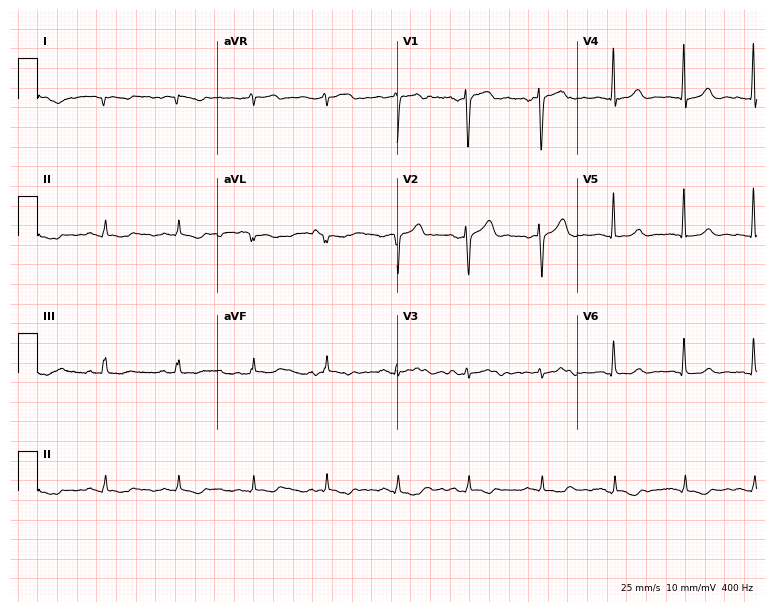
Resting 12-lead electrocardiogram (7.3-second recording at 400 Hz). Patient: a 42-year-old male. None of these six findings is recorded: first-degree AV block, right bundle branch block (RBBB), left bundle branch block (LBBB), sinus bradycardia, atrial fibrillation (AF), sinus tachycardia. Only these six findings were labelled.